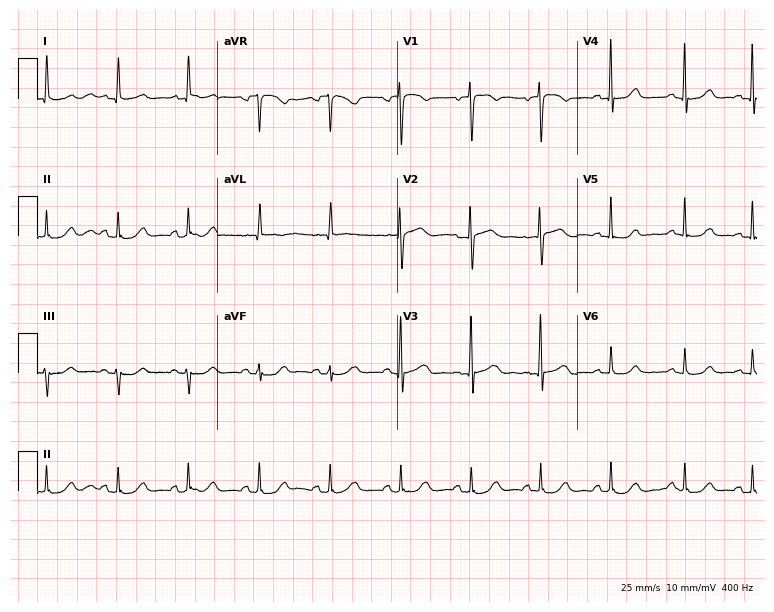
Resting 12-lead electrocardiogram (7.3-second recording at 400 Hz). Patient: a 77-year-old female. None of these six findings is recorded: first-degree AV block, right bundle branch block (RBBB), left bundle branch block (LBBB), sinus bradycardia, atrial fibrillation (AF), sinus tachycardia. Only these six findings were labelled.